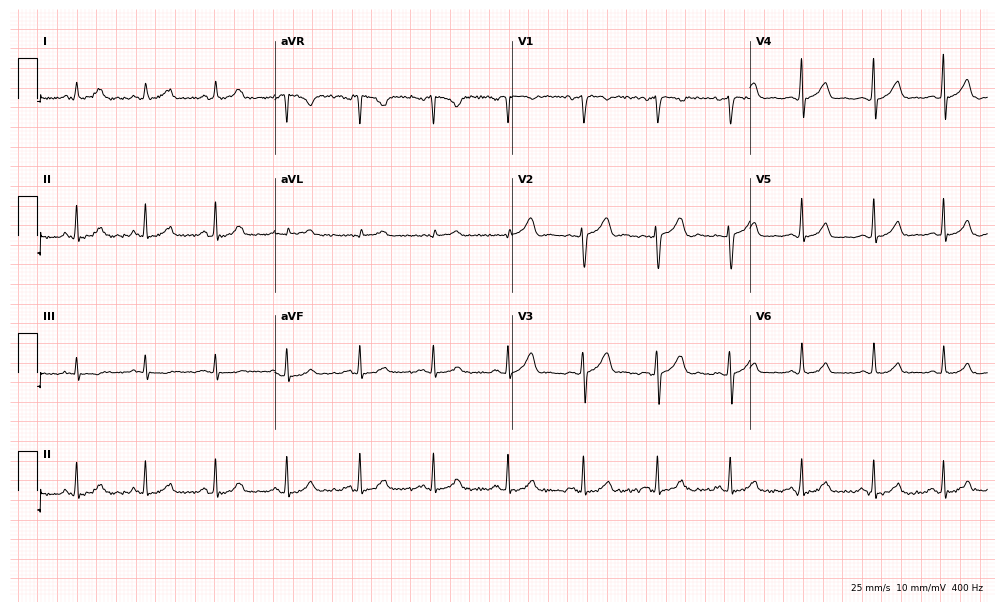
Electrocardiogram (9.7-second recording at 400 Hz), a 28-year-old female patient. Of the six screened findings (first-degree AV block, right bundle branch block (RBBB), left bundle branch block (LBBB), sinus bradycardia, atrial fibrillation (AF), sinus tachycardia), none is recorded. Only these six findings were labelled.